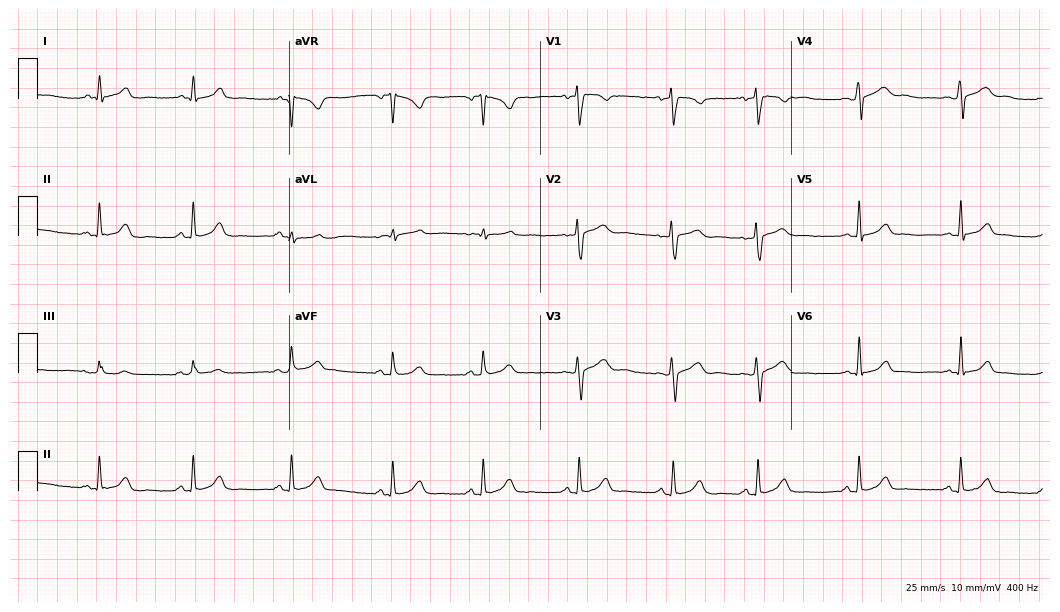
Resting 12-lead electrocardiogram. Patient: an 18-year-old woman. Read as a normal ECG.